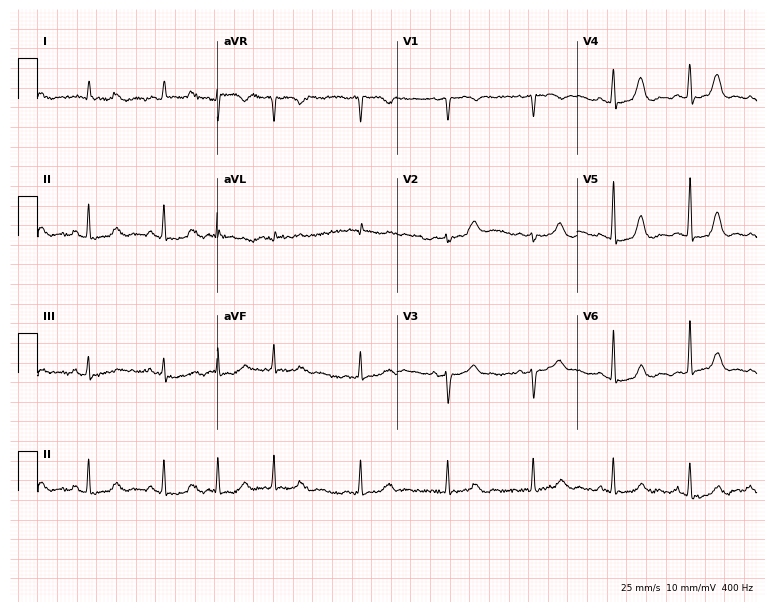
ECG (7.3-second recording at 400 Hz) — an 80-year-old female patient. Screened for six findings — first-degree AV block, right bundle branch block, left bundle branch block, sinus bradycardia, atrial fibrillation, sinus tachycardia — none is recorded. Other findings, if any, are not listed.